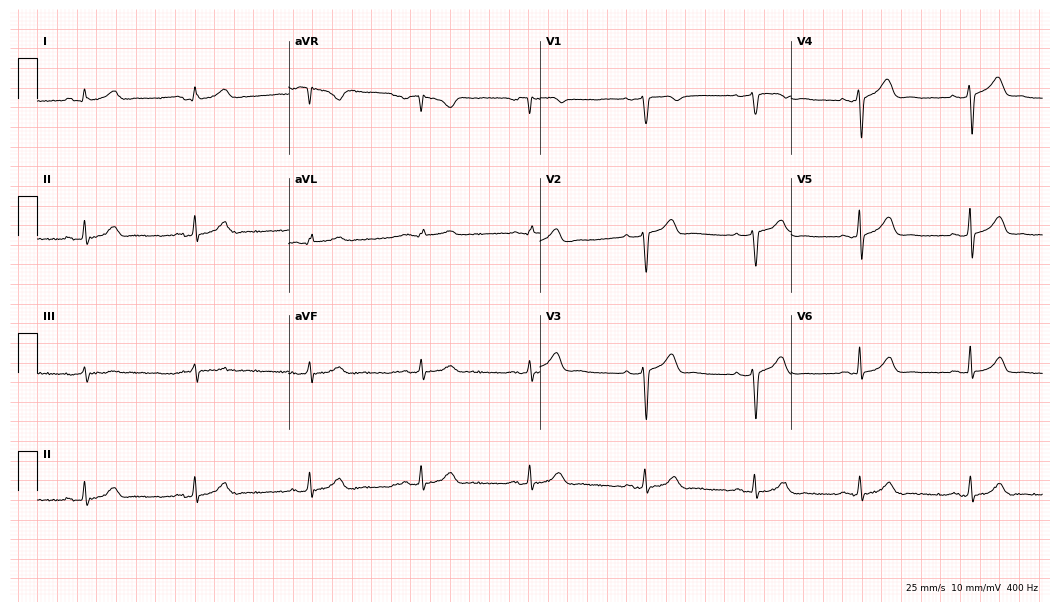
ECG (10.2-second recording at 400 Hz) — a 56-year-old male patient. Labelled as a normal ECG.